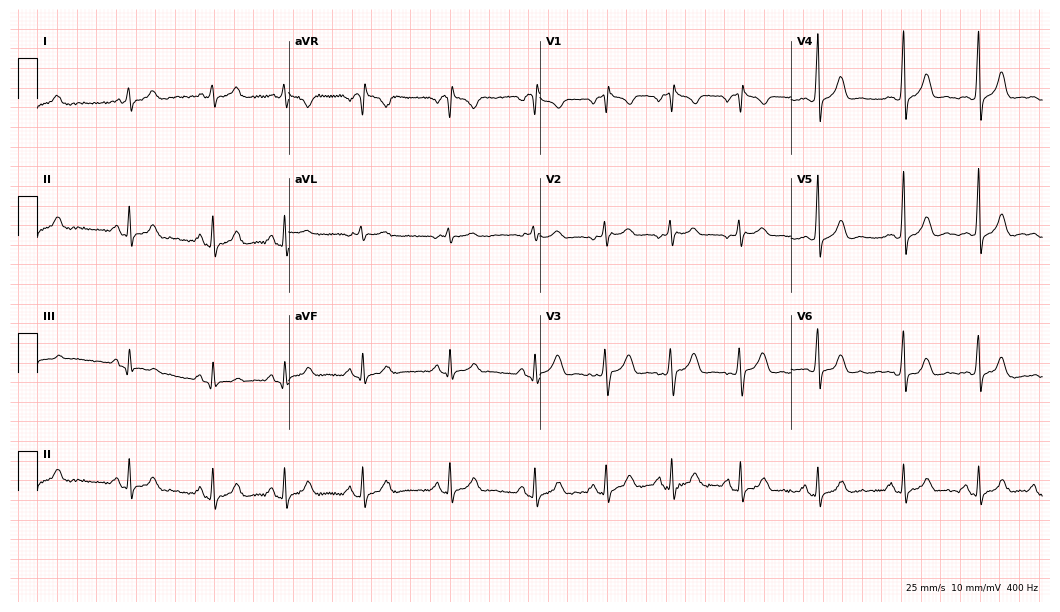
Resting 12-lead electrocardiogram. Patient: a woman, 30 years old. None of these six findings is recorded: first-degree AV block, right bundle branch block (RBBB), left bundle branch block (LBBB), sinus bradycardia, atrial fibrillation (AF), sinus tachycardia.